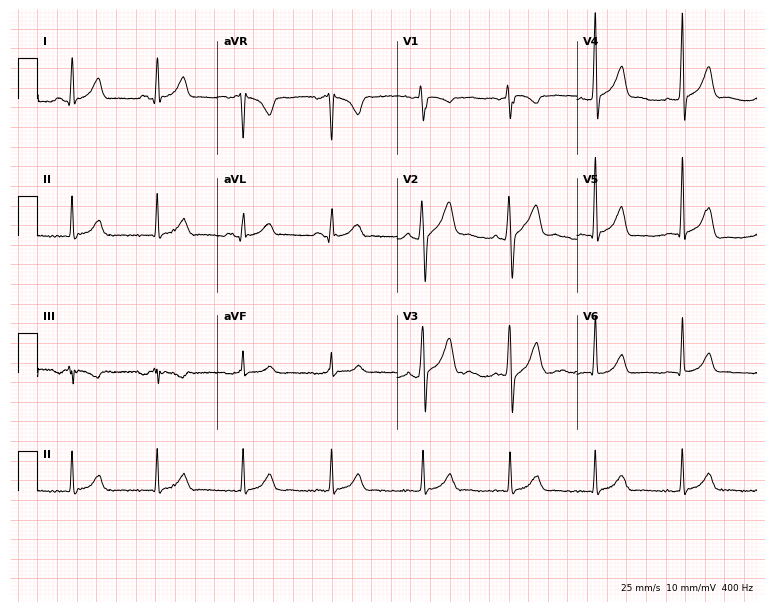
12-lead ECG from a male, 31 years old. Labelled as a normal ECG.